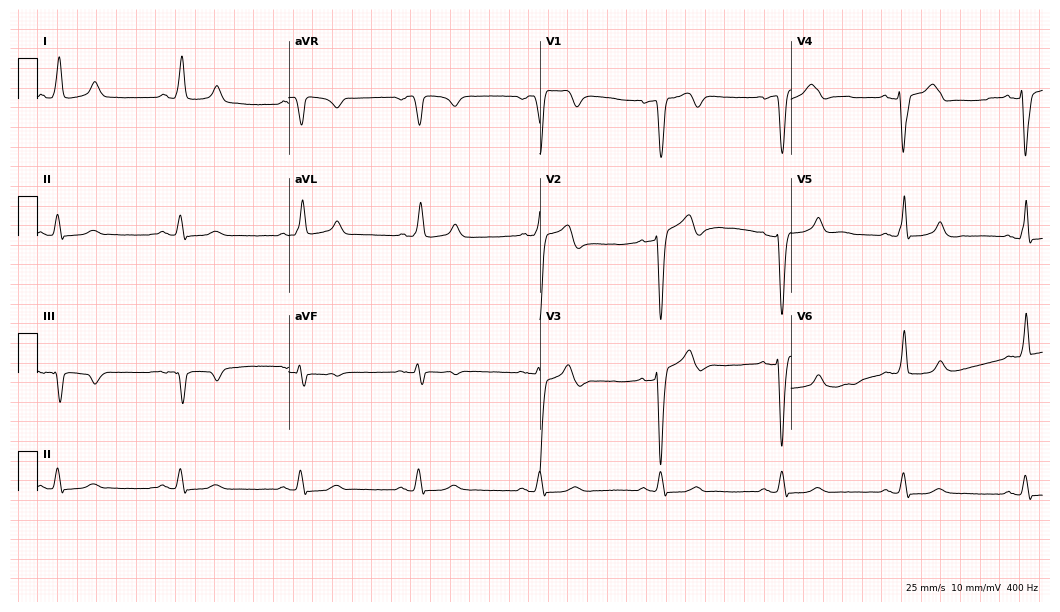
12-lead ECG from a male, 66 years old. Shows left bundle branch block (LBBB), sinus bradycardia (a sinus rate of 50 beats per minute or less).